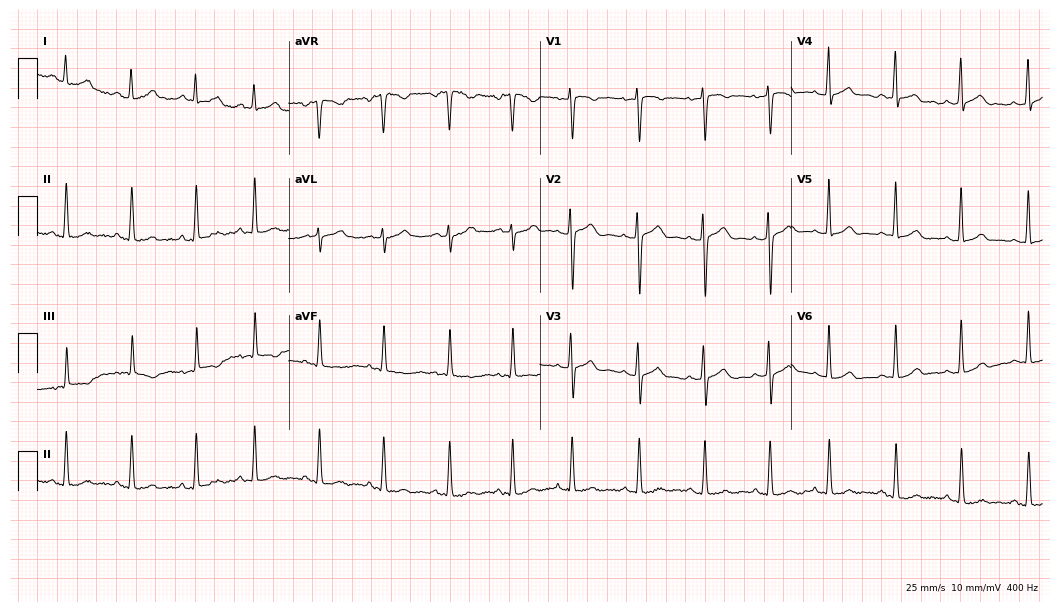
12-lead ECG from a 23-year-old female. Labelled as a normal ECG.